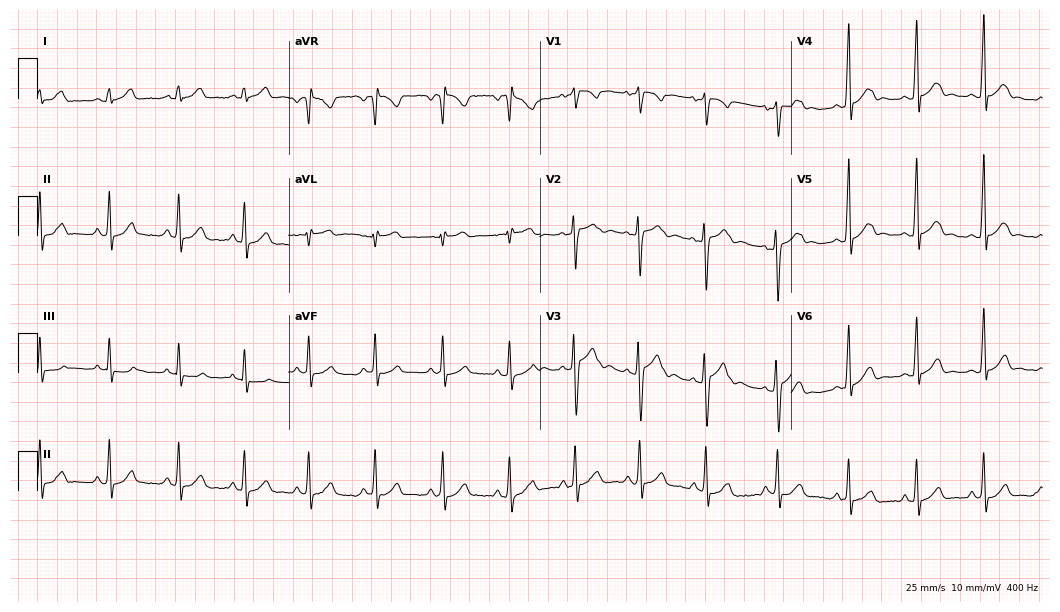
Resting 12-lead electrocardiogram. Patient: a male, 17 years old. Read as a normal ECG.